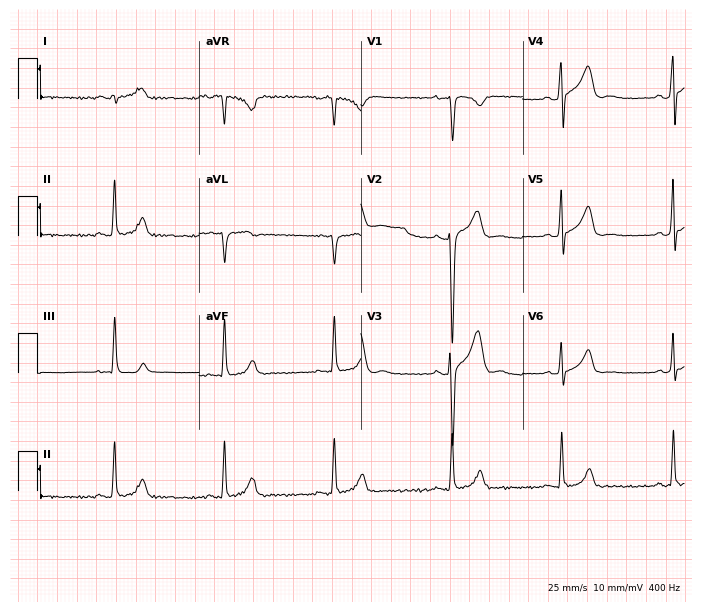
Standard 12-lead ECG recorded from a man, 20 years old. Read as a normal ECG.